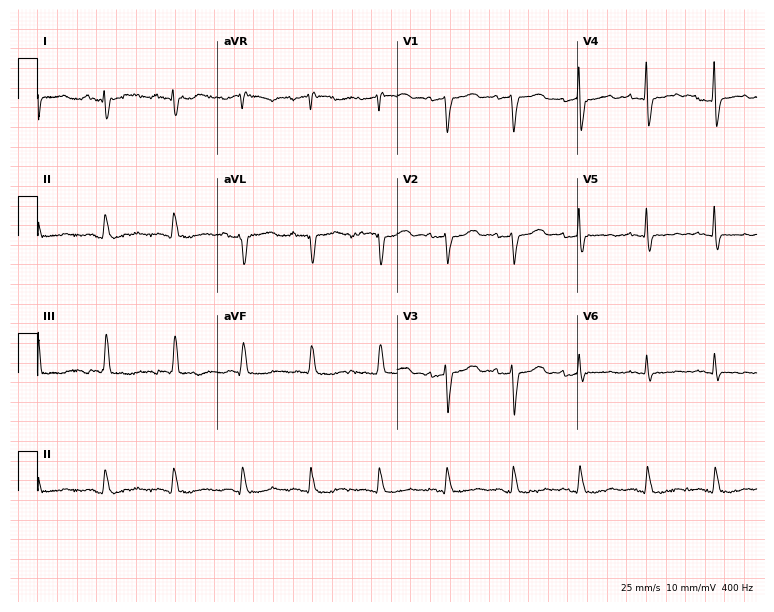
ECG — an 80-year-old woman. Screened for six findings — first-degree AV block, right bundle branch block (RBBB), left bundle branch block (LBBB), sinus bradycardia, atrial fibrillation (AF), sinus tachycardia — none is recorded.